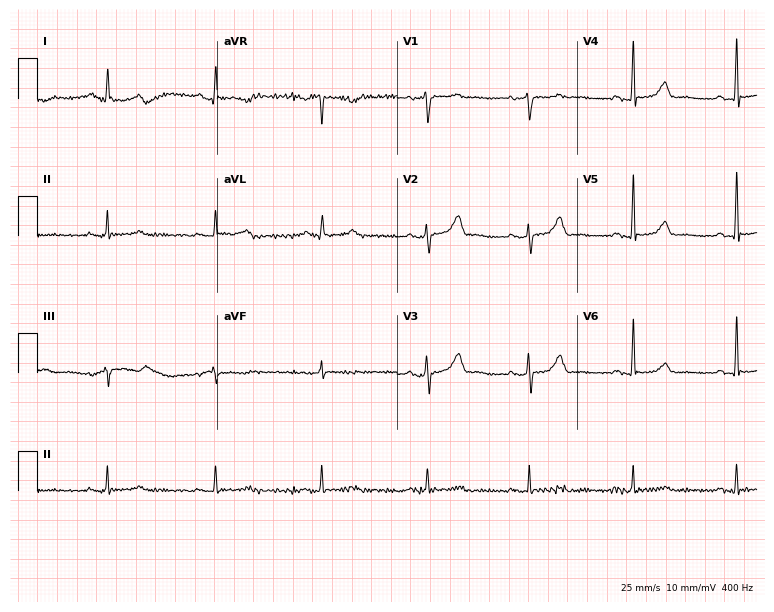
ECG — a 59-year-old female. Screened for six findings — first-degree AV block, right bundle branch block, left bundle branch block, sinus bradycardia, atrial fibrillation, sinus tachycardia — none is recorded. Findings outside these six are not listed.